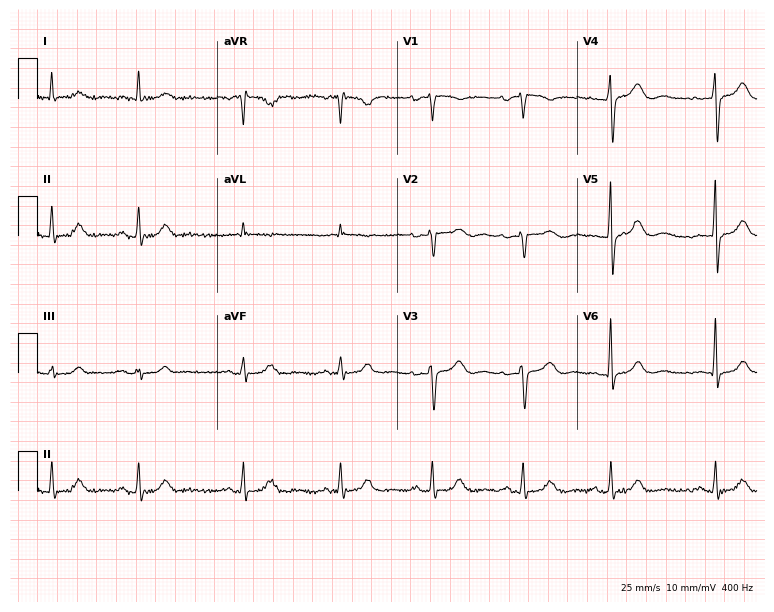
12-lead ECG from a woman, 73 years old. No first-degree AV block, right bundle branch block (RBBB), left bundle branch block (LBBB), sinus bradycardia, atrial fibrillation (AF) or sinus tachycardia recorded for this tracing. Other findings, if any, are not listed.